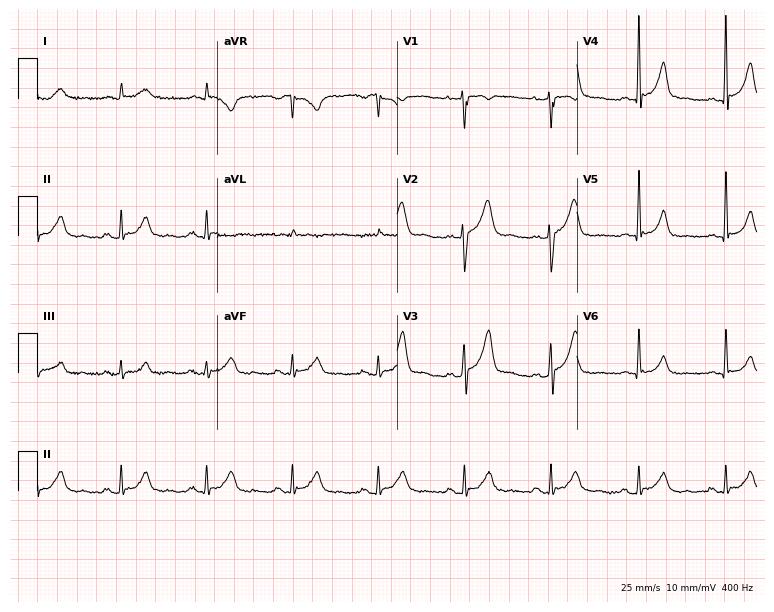
Electrocardiogram (7.3-second recording at 400 Hz), a 59-year-old male. Of the six screened findings (first-degree AV block, right bundle branch block, left bundle branch block, sinus bradycardia, atrial fibrillation, sinus tachycardia), none is recorded. Other findings, if any, are not listed.